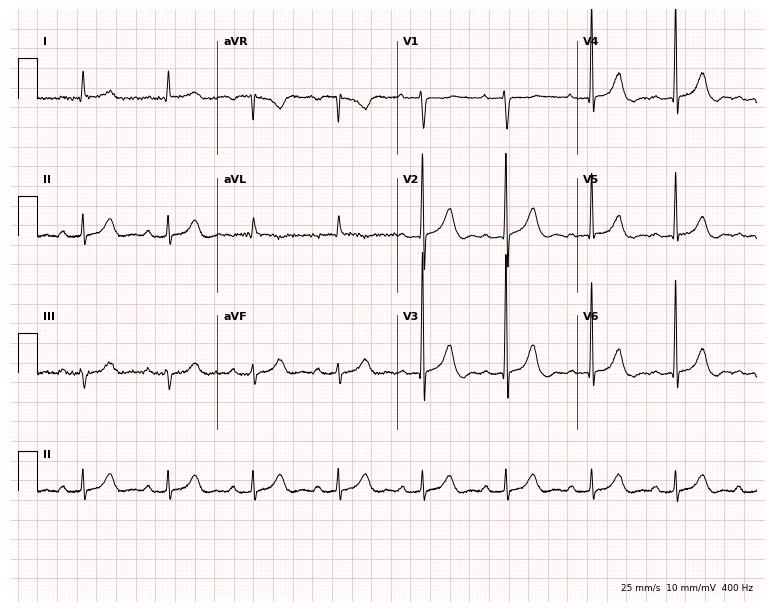
Electrocardiogram, a 62-year-old man. Interpretation includes first-degree AV block.